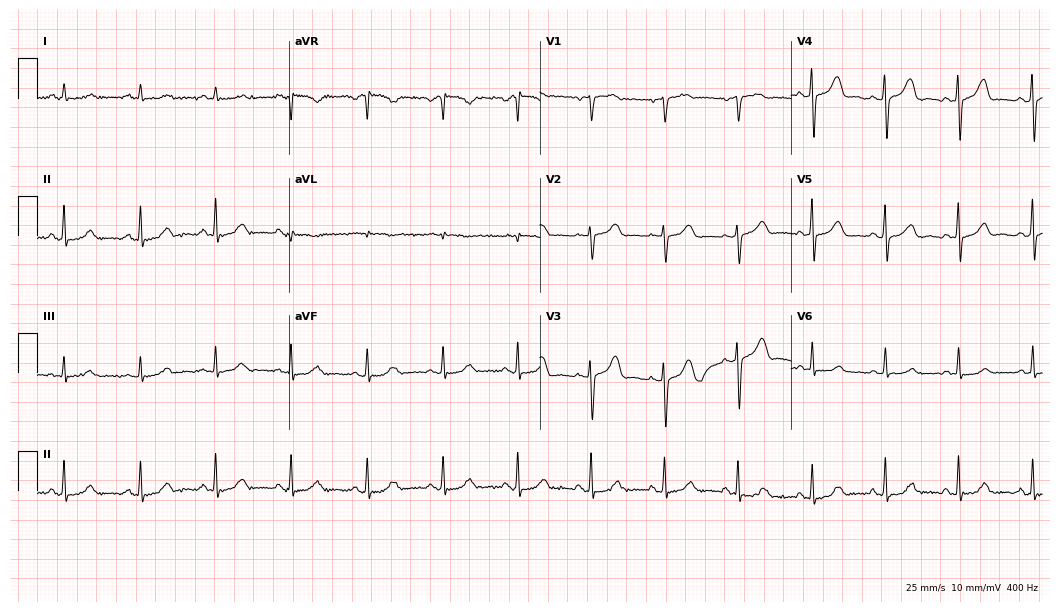
Resting 12-lead electrocardiogram (10.2-second recording at 400 Hz). Patient: a female, 58 years old. Read as a normal ECG.